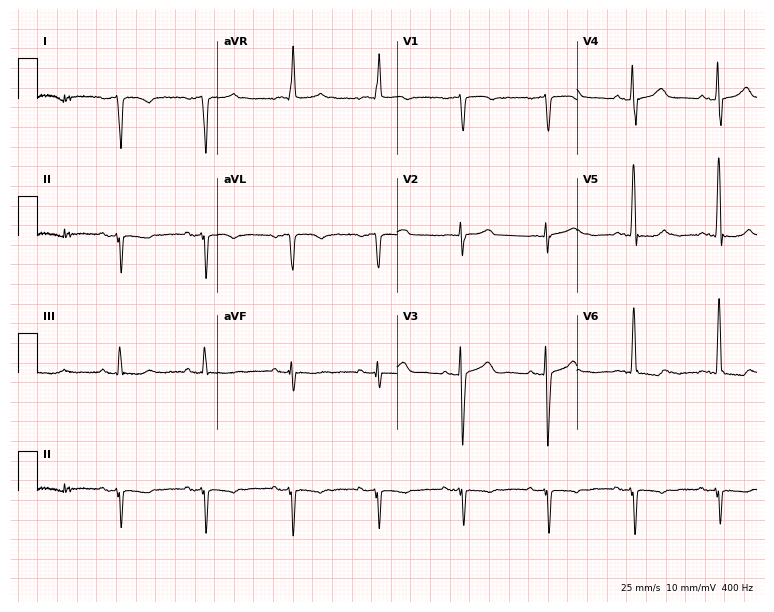
Electrocardiogram, a 74-year-old woman. Of the six screened findings (first-degree AV block, right bundle branch block, left bundle branch block, sinus bradycardia, atrial fibrillation, sinus tachycardia), none is recorded.